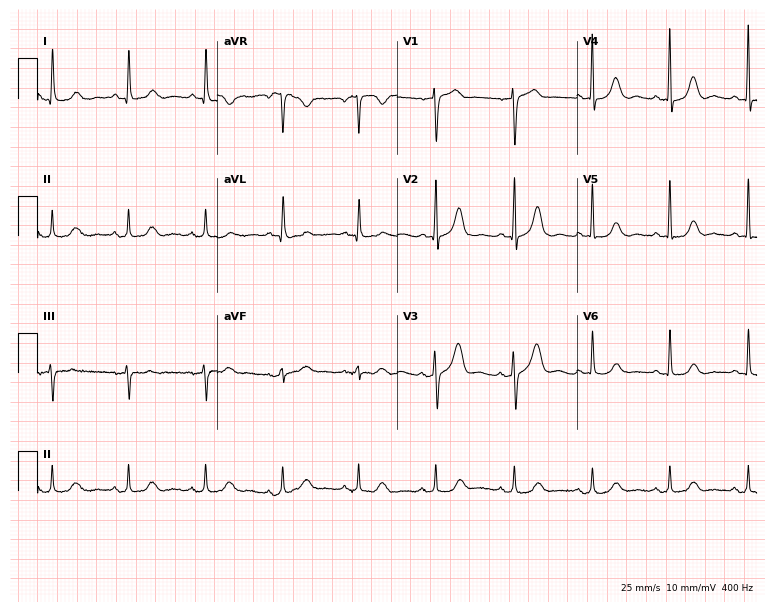
Resting 12-lead electrocardiogram. Patient: a female, 71 years old. Read as a normal ECG.